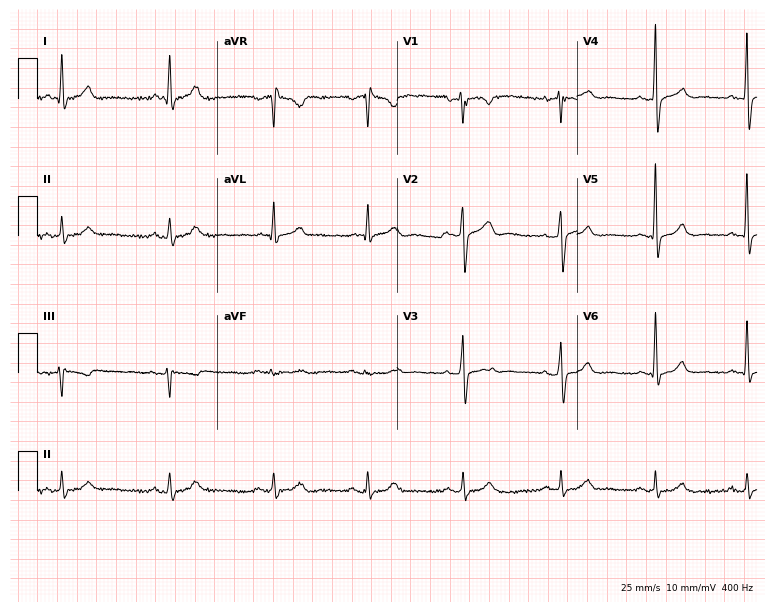
Standard 12-lead ECG recorded from a 48-year-old man (7.3-second recording at 400 Hz). None of these six findings is recorded: first-degree AV block, right bundle branch block, left bundle branch block, sinus bradycardia, atrial fibrillation, sinus tachycardia.